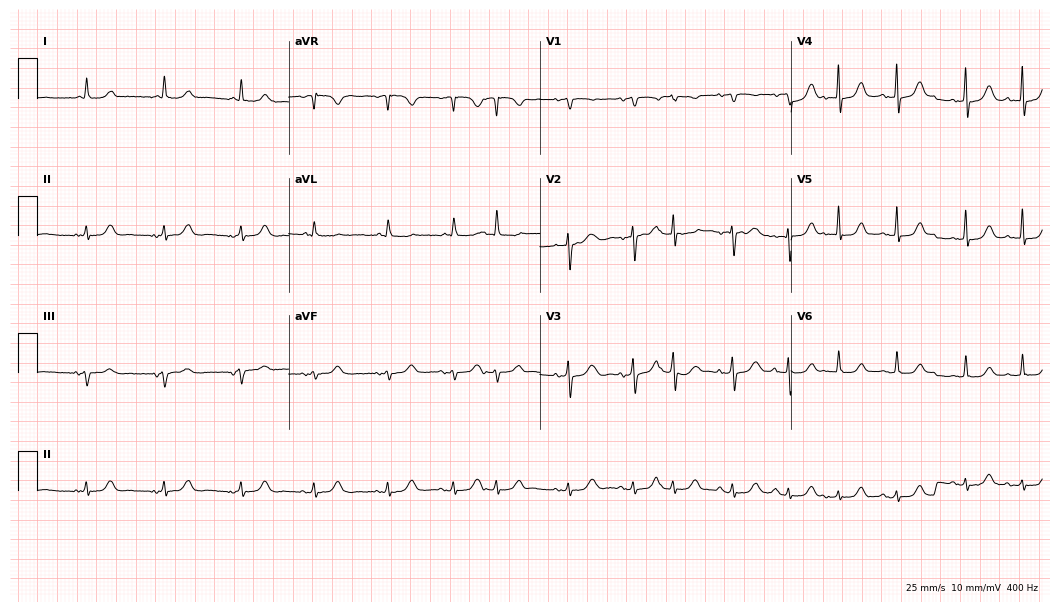
Resting 12-lead electrocardiogram (10.2-second recording at 400 Hz). Patient: a female, 82 years old. Read as a normal ECG.